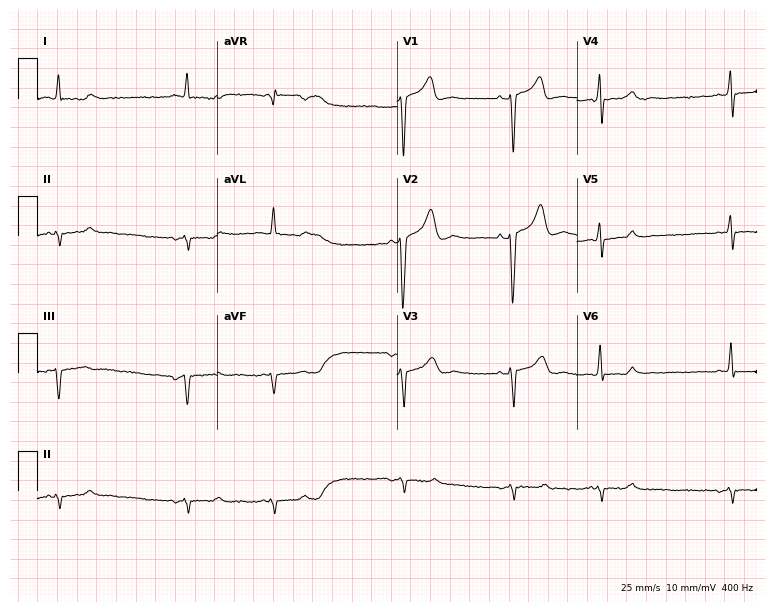
Standard 12-lead ECG recorded from a male patient, 74 years old (7.3-second recording at 400 Hz). None of these six findings is recorded: first-degree AV block, right bundle branch block, left bundle branch block, sinus bradycardia, atrial fibrillation, sinus tachycardia.